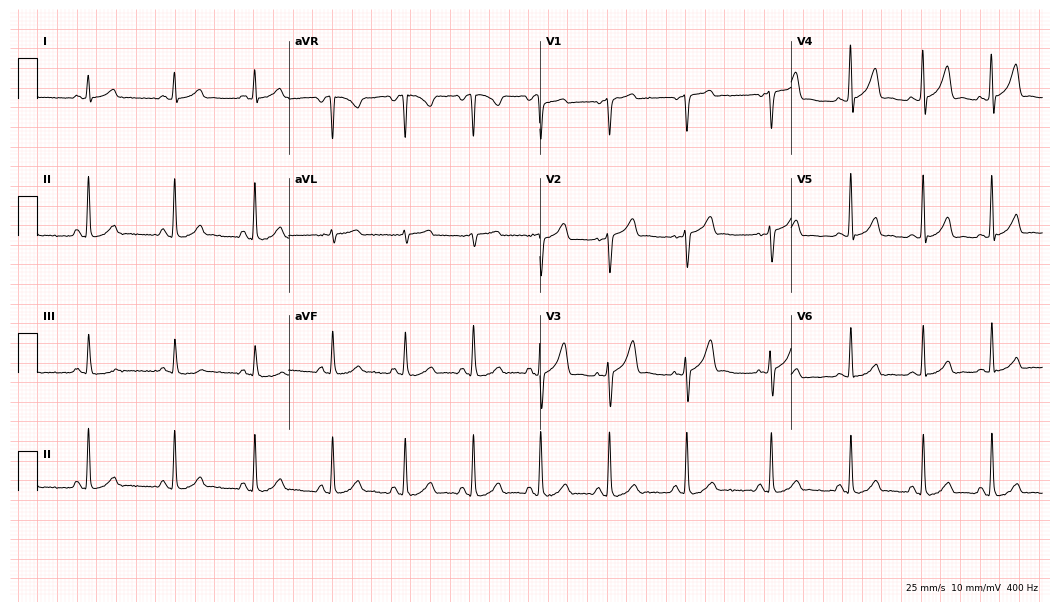
Electrocardiogram (10.2-second recording at 400 Hz), a 41-year-old woman. Of the six screened findings (first-degree AV block, right bundle branch block, left bundle branch block, sinus bradycardia, atrial fibrillation, sinus tachycardia), none is recorded. Findings outside these six are not listed.